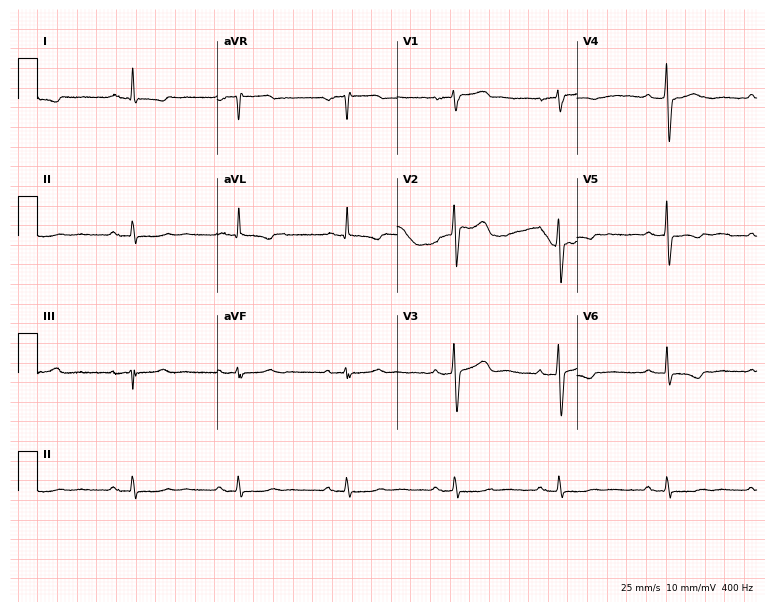
Resting 12-lead electrocardiogram. Patient: a woman, 56 years old. None of these six findings is recorded: first-degree AV block, right bundle branch block (RBBB), left bundle branch block (LBBB), sinus bradycardia, atrial fibrillation (AF), sinus tachycardia.